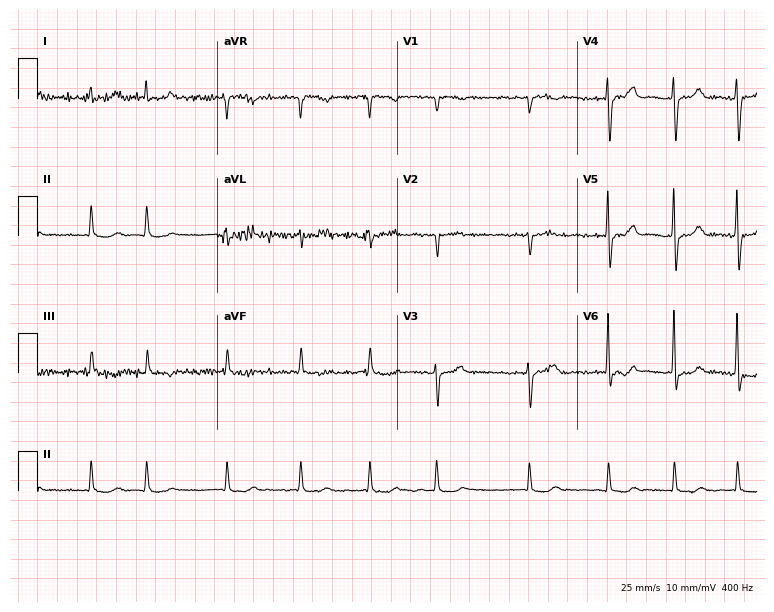
12-lead ECG (7.3-second recording at 400 Hz) from an 80-year-old woman. Screened for six findings — first-degree AV block, right bundle branch block (RBBB), left bundle branch block (LBBB), sinus bradycardia, atrial fibrillation (AF), sinus tachycardia — none is recorded. Only these six findings were labelled.